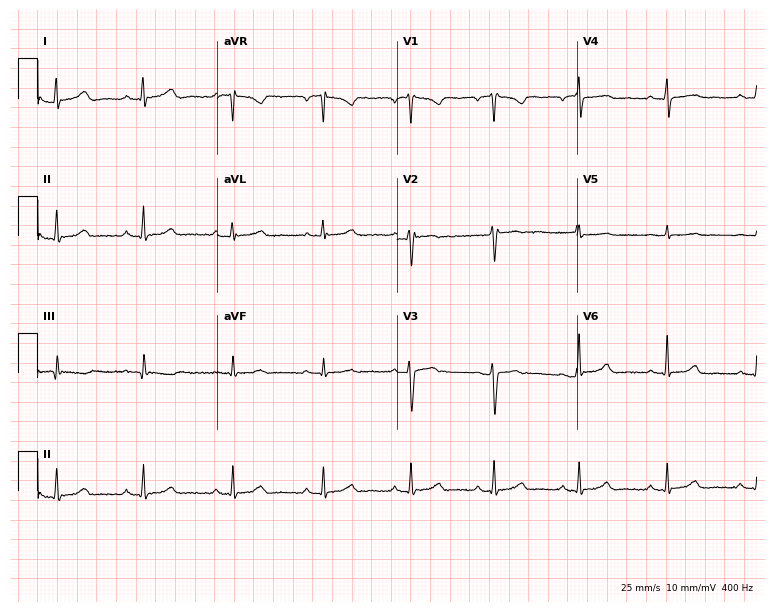
Resting 12-lead electrocardiogram (7.3-second recording at 400 Hz). Patient: a 41-year-old woman. None of these six findings is recorded: first-degree AV block, right bundle branch block (RBBB), left bundle branch block (LBBB), sinus bradycardia, atrial fibrillation (AF), sinus tachycardia. Only these six findings were labelled.